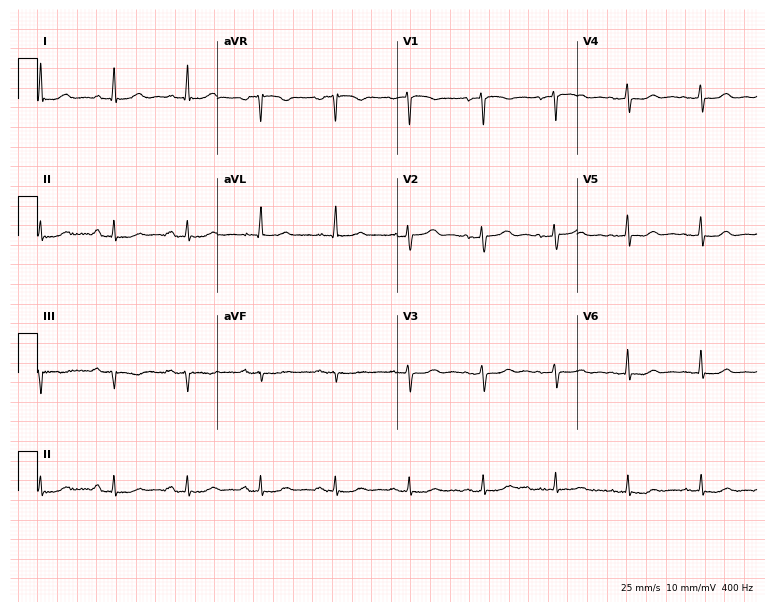
12-lead ECG from a 65-year-old female. Screened for six findings — first-degree AV block, right bundle branch block (RBBB), left bundle branch block (LBBB), sinus bradycardia, atrial fibrillation (AF), sinus tachycardia — none is recorded. Only these six findings were labelled.